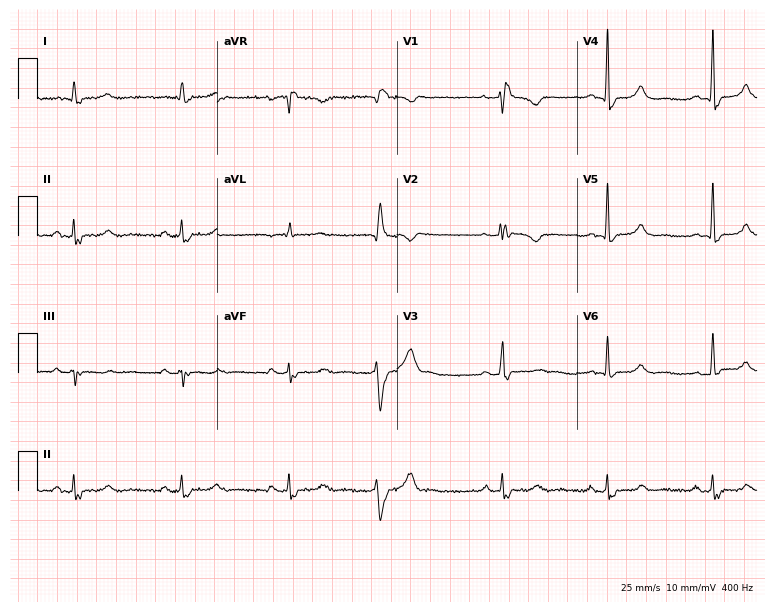
Resting 12-lead electrocardiogram. Patient: a 57-year-old woman. The tracing shows right bundle branch block.